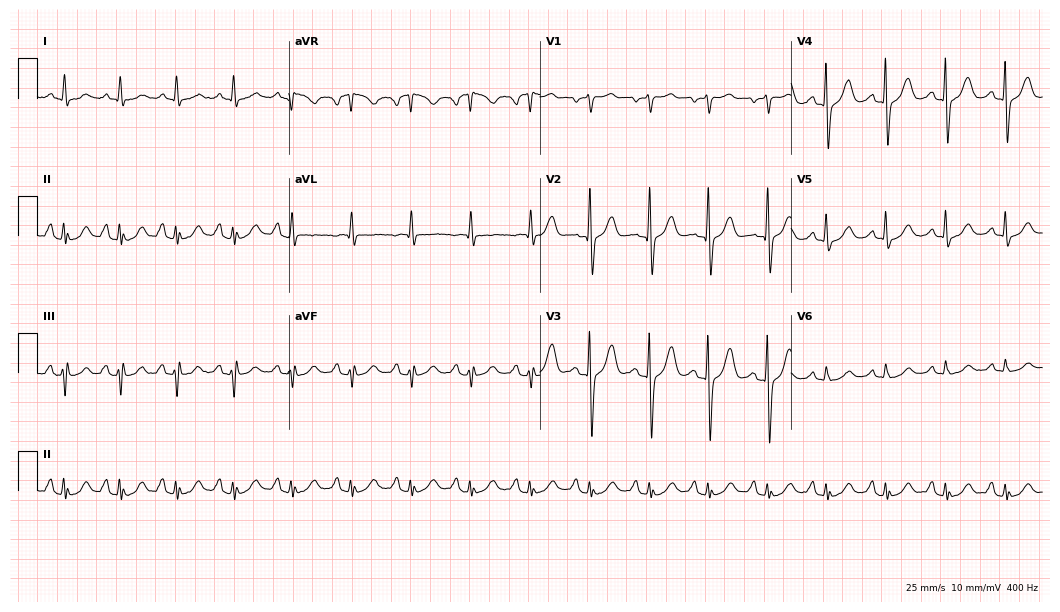
Standard 12-lead ECG recorded from a 73-year-old woman (10.2-second recording at 400 Hz). The tracing shows sinus tachycardia (a sinus rate of 100 beats per minute or more).